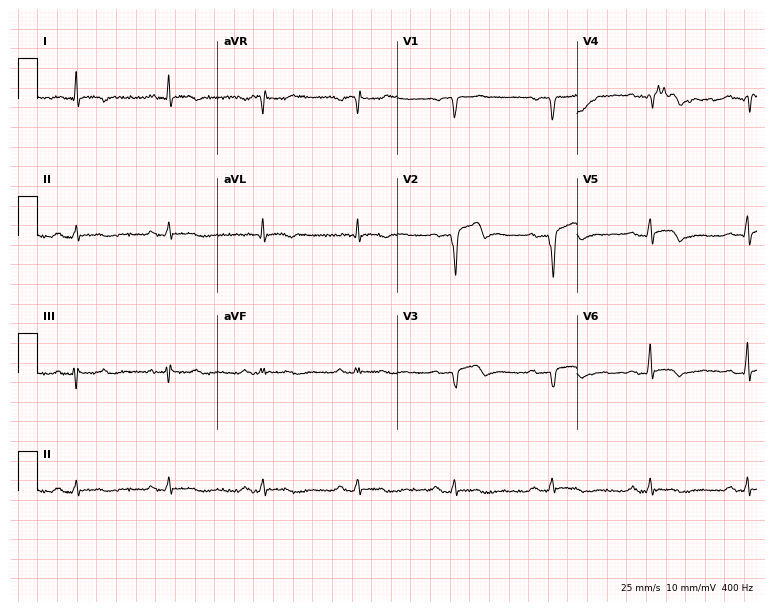
Electrocardiogram (7.3-second recording at 400 Hz), a male patient, 63 years old. Of the six screened findings (first-degree AV block, right bundle branch block (RBBB), left bundle branch block (LBBB), sinus bradycardia, atrial fibrillation (AF), sinus tachycardia), none is recorded. Only these six findings were labelled.